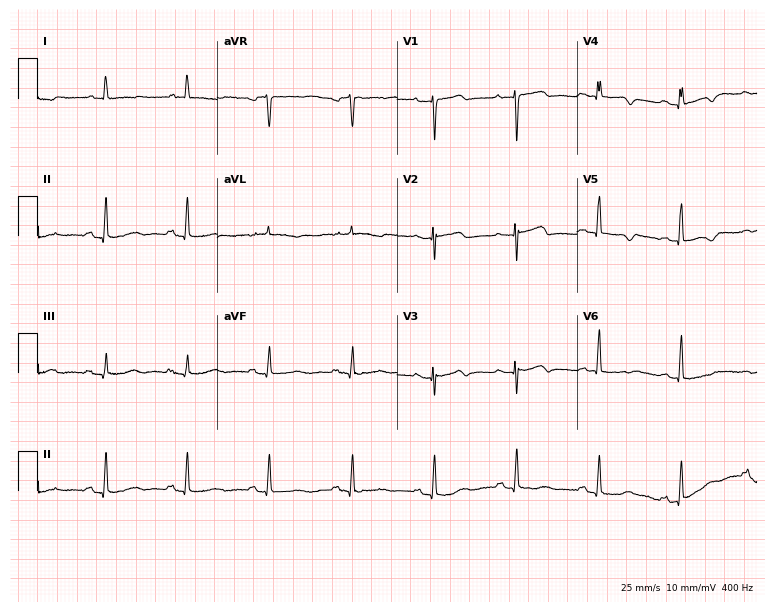
12-lead ECG from a 76-year-old woman (7.3-second recording at 400 Hz). Recorded interpretation: within normal limits.